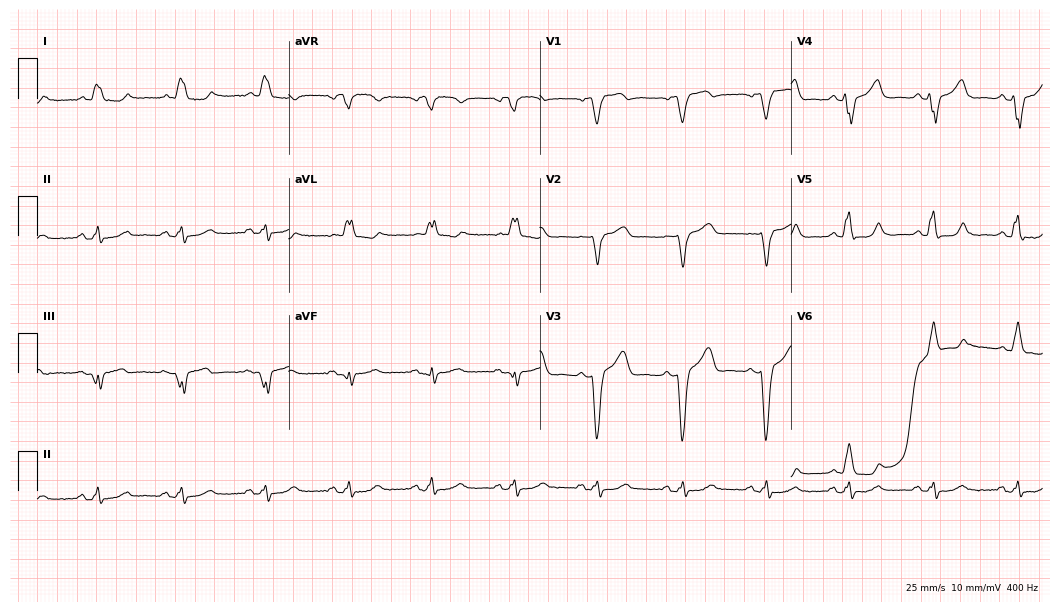
ECG — a 76-year-old female. Findings include left bundle branch block (LBBB).